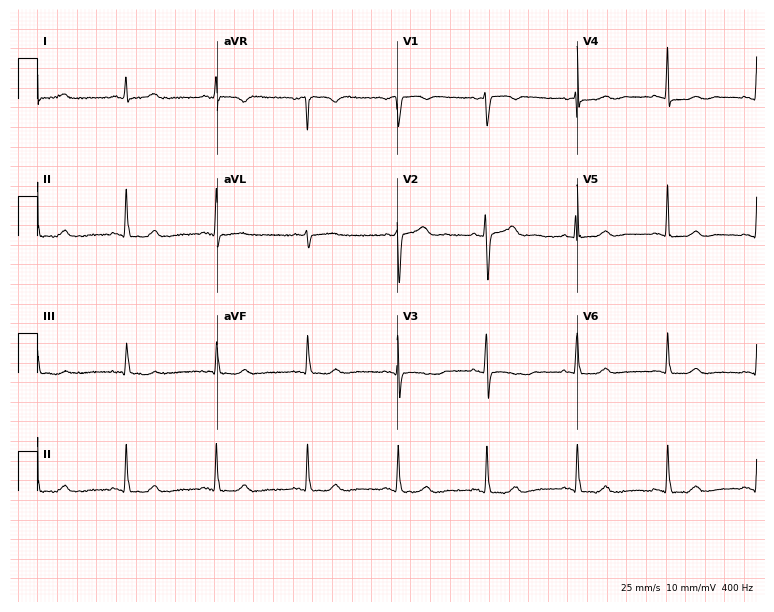
Electrocardiogram, a female patient, 62 years old. Overall reading on record: normal ECG.